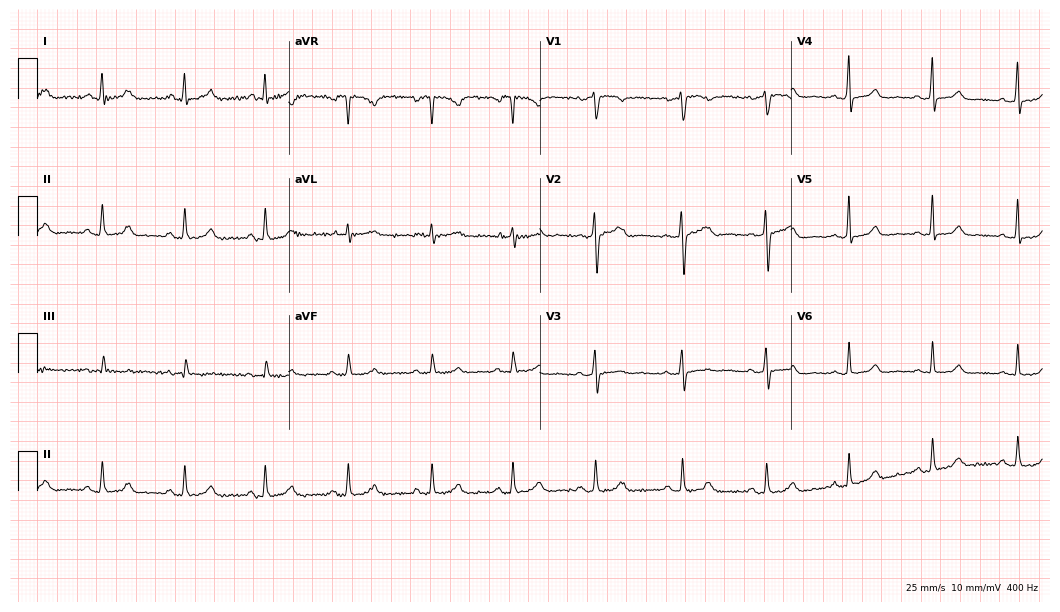
Resting 12-lead electrocardiogram. Patient: a 38-year-old female. Read as a normal ECG.